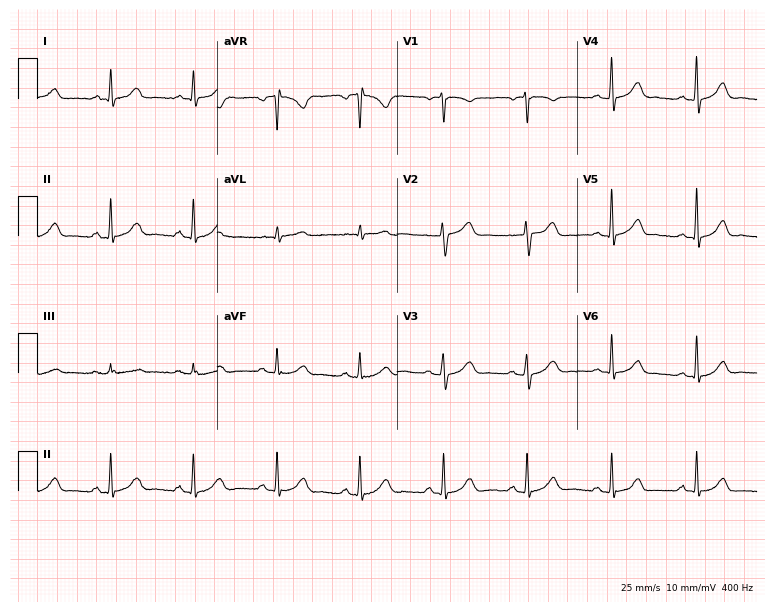
ECG — a 63-year-old female. Labelled as a normal ECG.